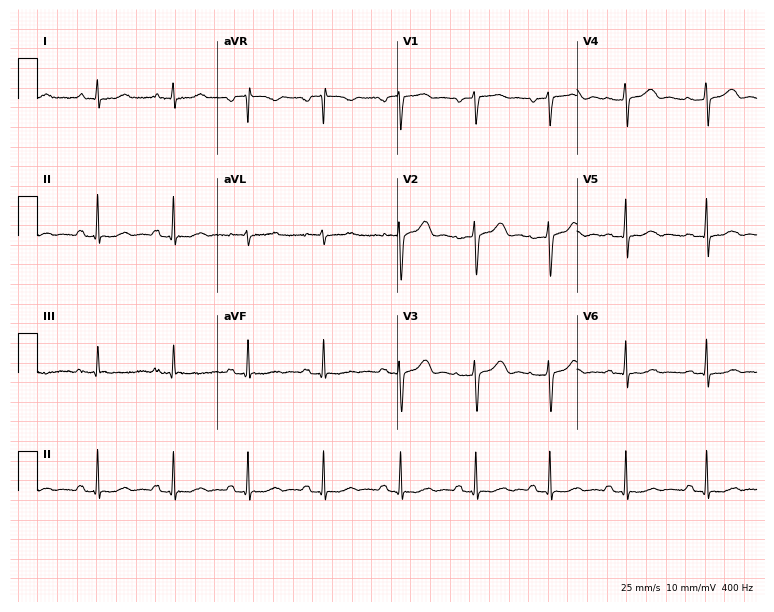
Resting 12-lead electrocardiogram. Patient: a woman, 50 years old. Read as a normal ECG.